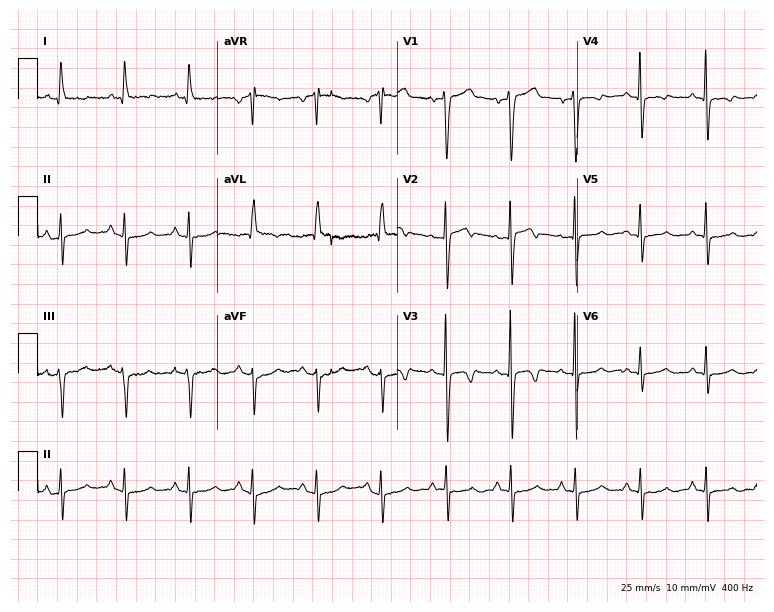
12-lead ECG from a male, 57 years old. Screened for six findings — first-degree AV block, right bundle branch block (RBBB), left bundle branch block (LBBB), sinus bradycardia, atrial fibrillation (AF), sinus tachycardia — none is recorded.